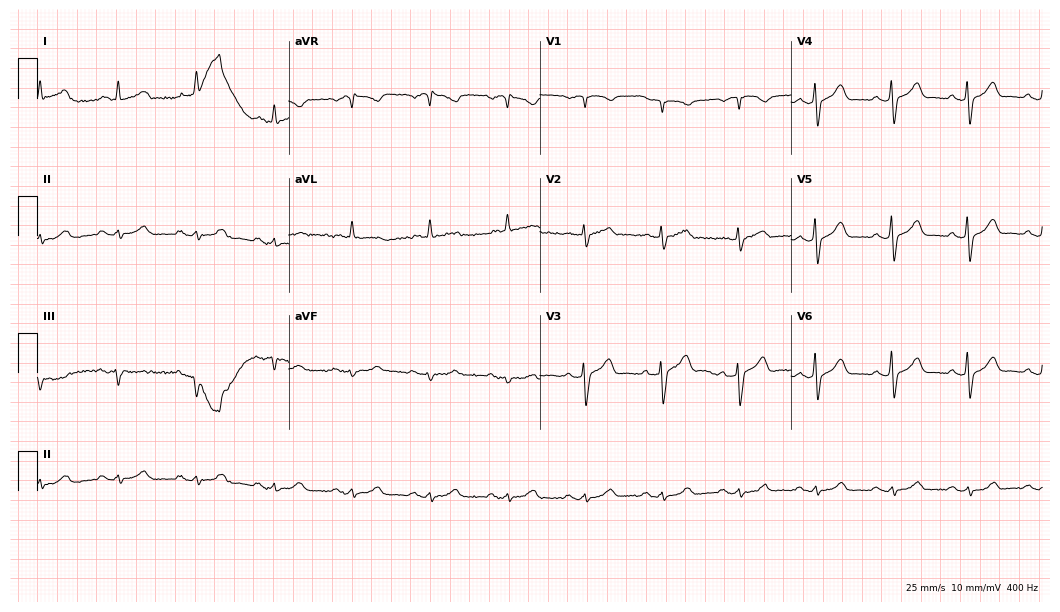
Standard 12-lead ECG recorded from a 78-year-old male patient. None of these six findings is recorded: first-degree AV block, right bundle branch block, left bundle branch block, sinus bradycardia, atrial fibrillation, sinus tachycardia. Findings outside these six are not listed.